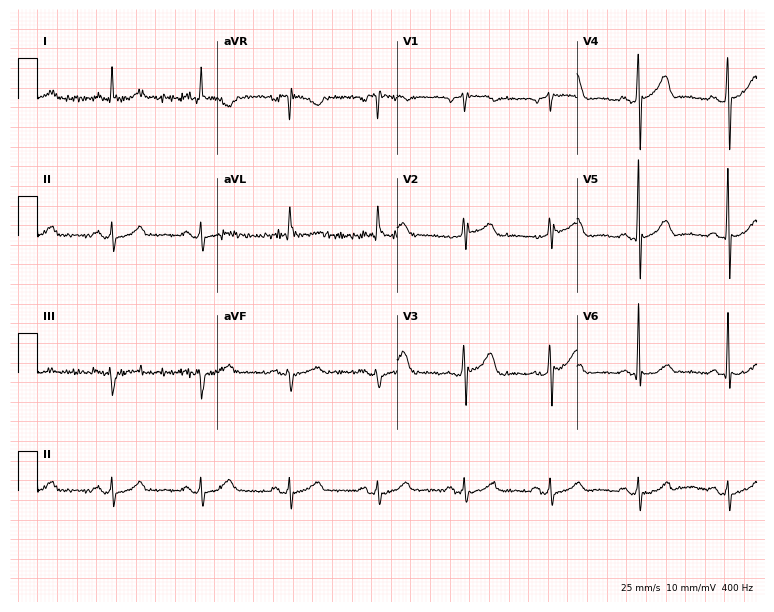
Electrocardiogram (7.3-second recording at 400 Hz), a 70-year-old male patient. Overall reading on record: normal ECG.